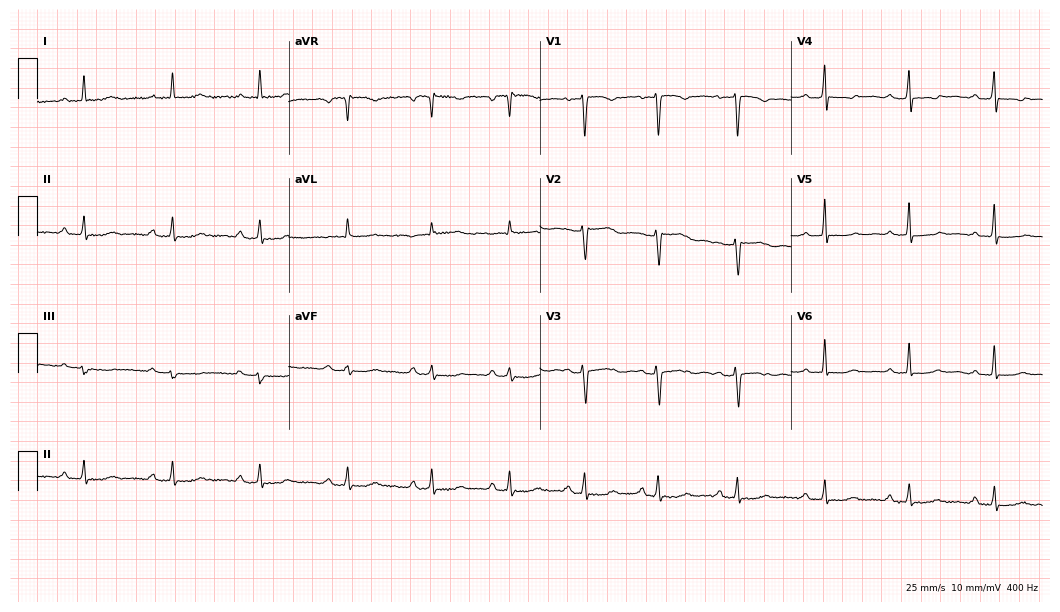
Electrocardiogram, a female patient, 48 years old. Interpretation includes first-degree AV block.